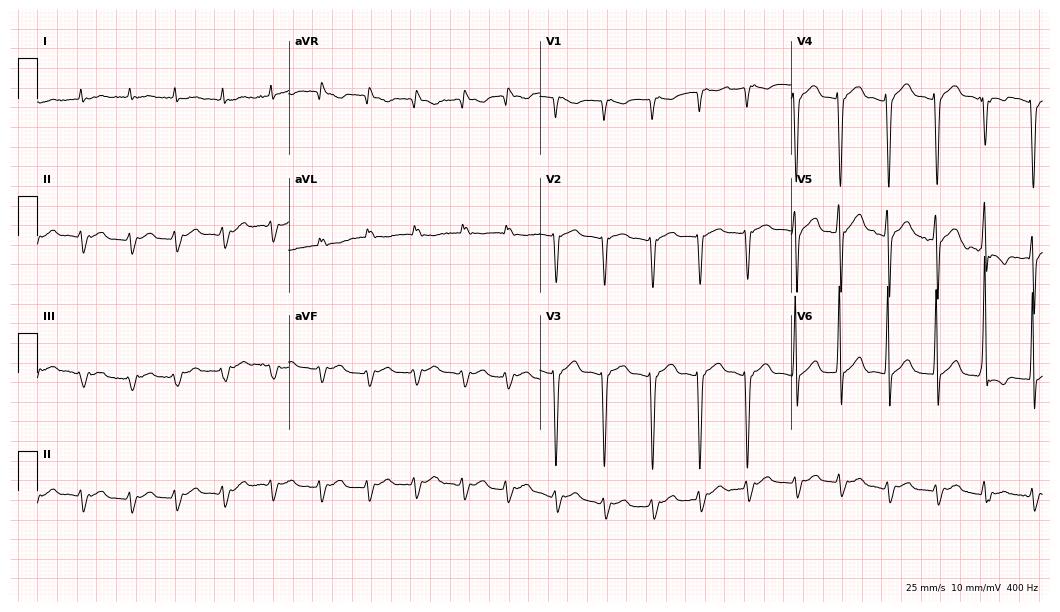
Resting 12-lead electrocardiogram. Patient: an 80-year-old male. The tracing shows atrial fibrillation (AF).